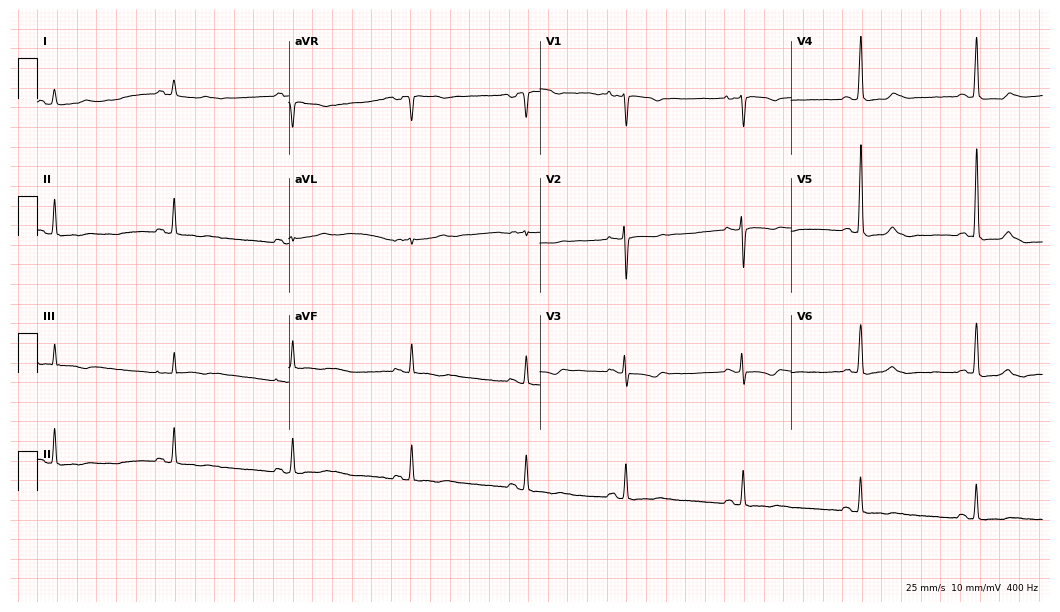
Resting 12-lead electrocardiogram (10.2-second recording at 400 Hz). Patient: a female, 36 years old. None of these six findings is recorded: first-degree AV block, right bundle branch block (RBBB), left bundle branch block (LBBB), sinus bradycardia, atrial fibrillation (AF), sinus tachycardia.